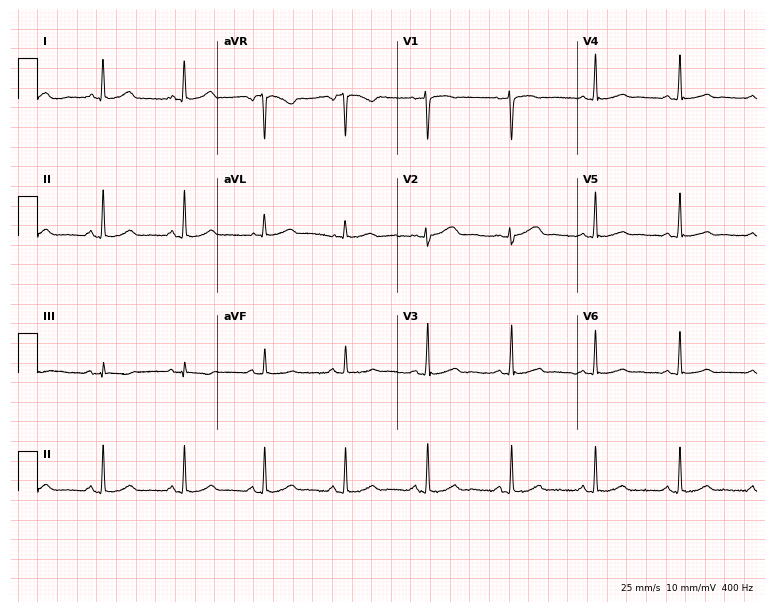
Standard 12-lead ECG recorded from a 38-year-old female patient (7.3-second recording at 400 Hz). Read as a normal ECG.